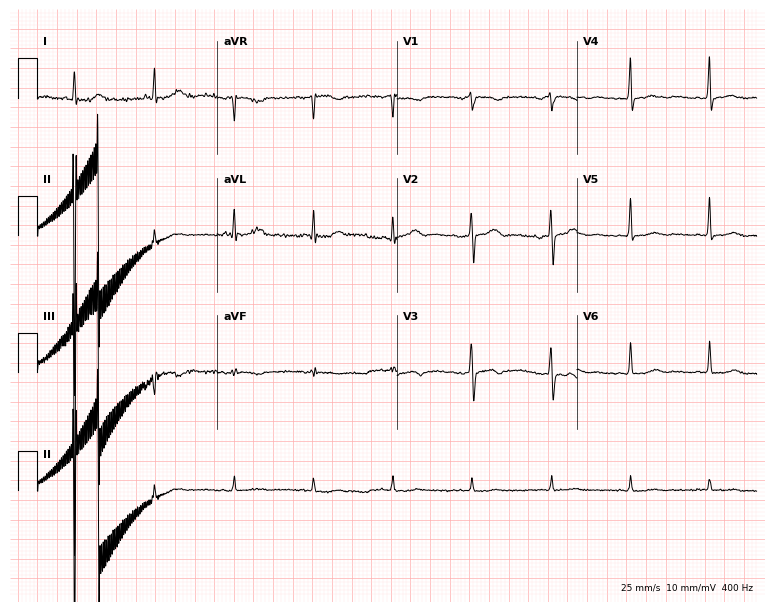
12-lead ECG from a female, 58 years old. Labelled as a normal ECG.